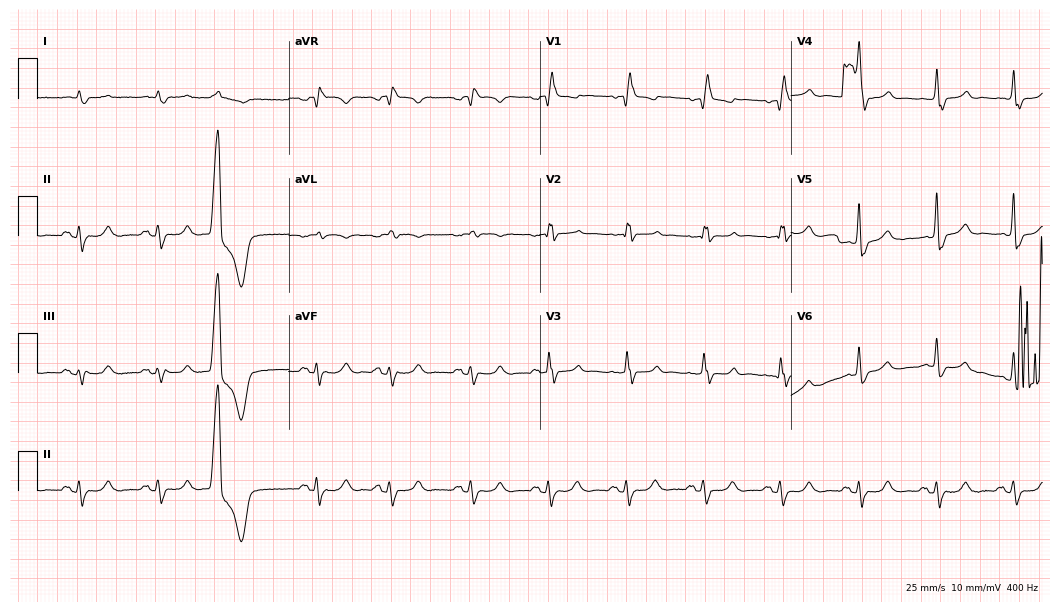
ECG (10.2-second recording at 400 Hz) — a male, 78 years old. Findings include right bundle branch block.